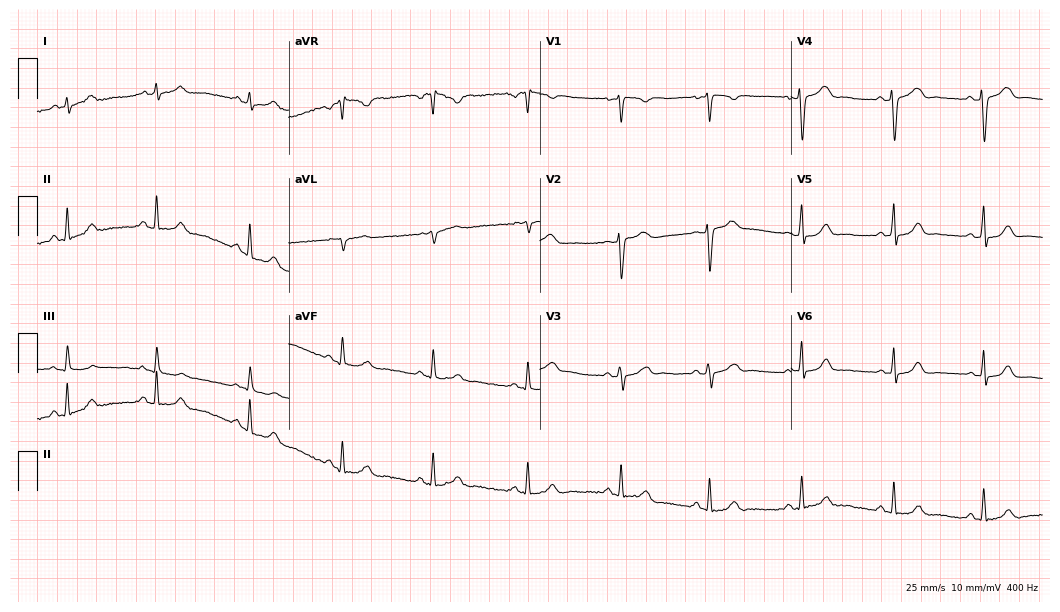
Standard 12-lead ECG recorded from a 34-year-old woman. Read as a normal ECG.